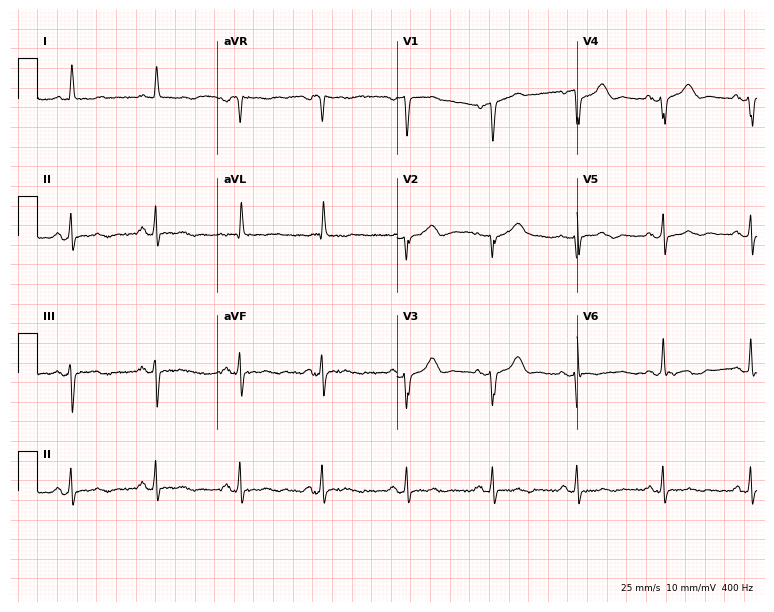
Resting 12-lead electrocardiogram (7.3-second recording at 400 Hz). Patient: a 64-year-old female. None of these six findings is recorded: first-degree AV block, right bundle branch block, left bundle branch block, sinus bradycardia, atrial fibrillation, sinus tachycardia. Other findings, if any, are not listed.